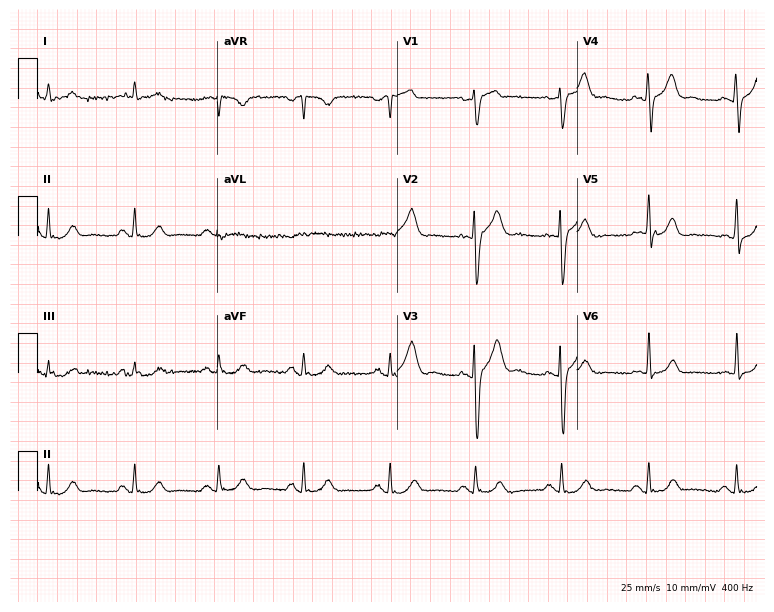
Electrocardiogram, a 73-year-old male patient. Overall reading on record: normal ECG.